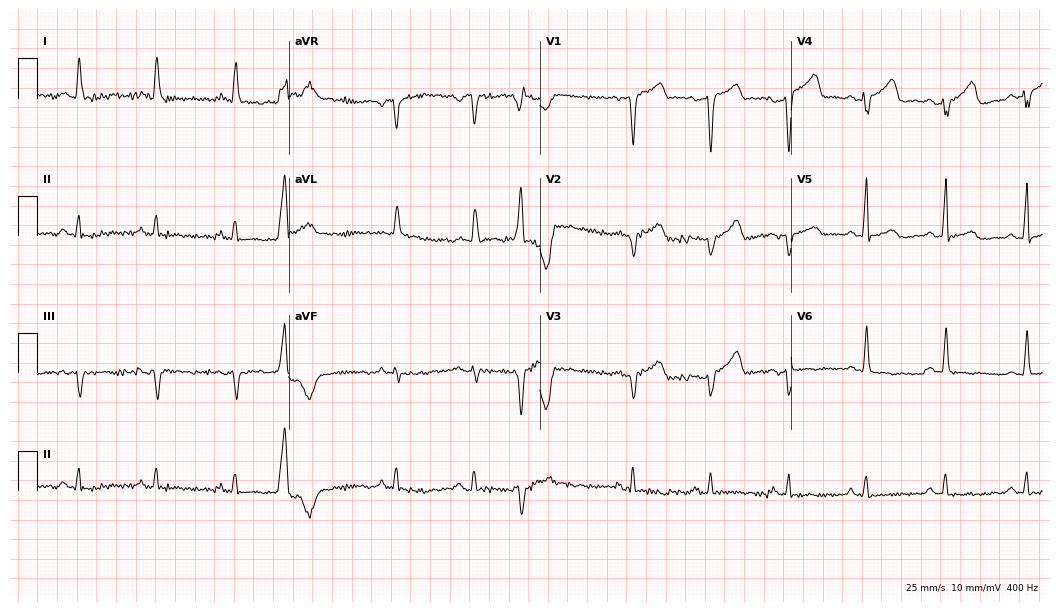
Standard 12-lead ECG recorded from a male patient, 56 years old (10.2-second recording at 400 Hz). None of these six findings is recorded: first-degree AV block, right bundle branch block (RBBB), left bundle branch block (LBBB), sinus bradycardia, atrial fibrillation (AF), sinus tachycardia. Only these six findings were labelled.